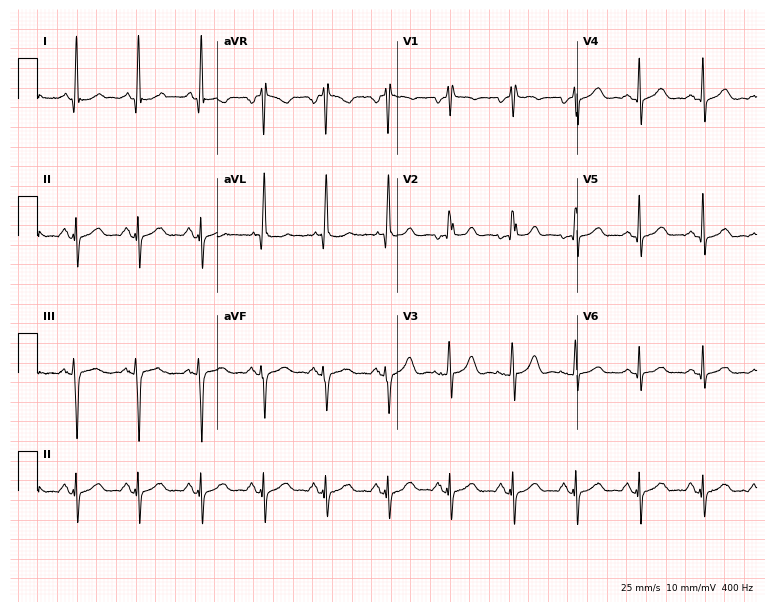
12-lead ECG from a 66-year-old female patient. No first-degree AV block, right bundle branch block, left bundle branch block, sinus bradycardia, atrial fibrillation or sinus tachycardia recorded for this tracing. Other findings, if any, are not listed.